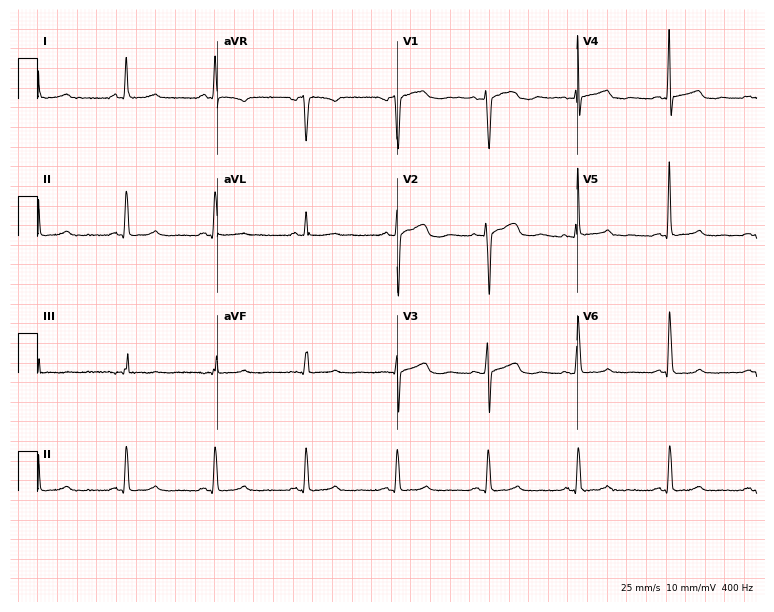
ECG — a female patient, 61 years old. Labelled as a normal ECG.